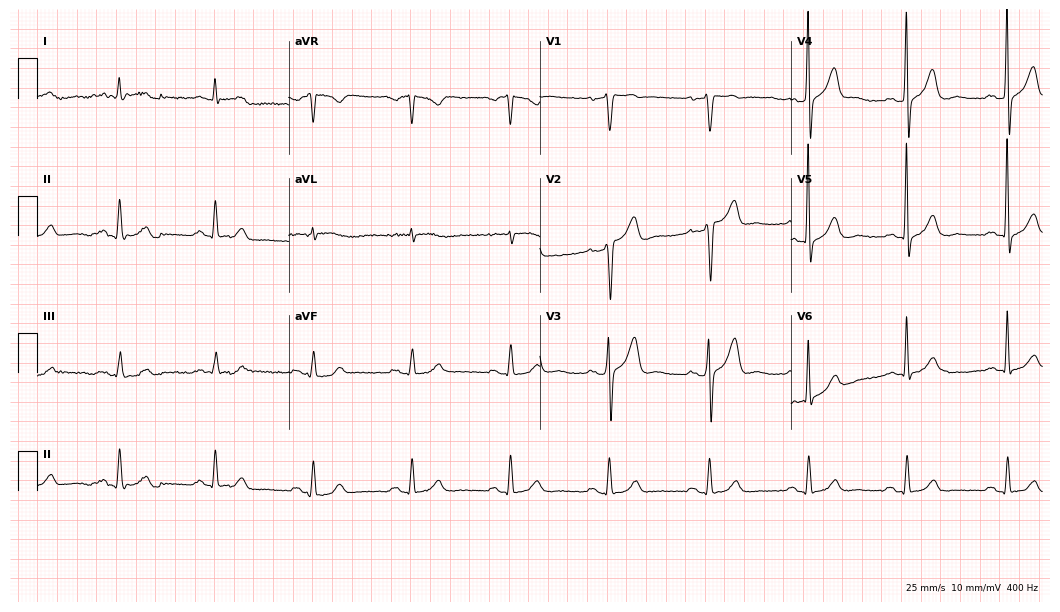
Resting 12-lead electrocardiogram (10.2-second recording at 400 Hz). Patient: a 78-year-old male. None of these six findings is recorded: first-degree AV block, right bundle branch block, left bundle branch block, sinus bradycardia, atrial fibrillation, sinus tachycardia. Findings outside these six are not listed.